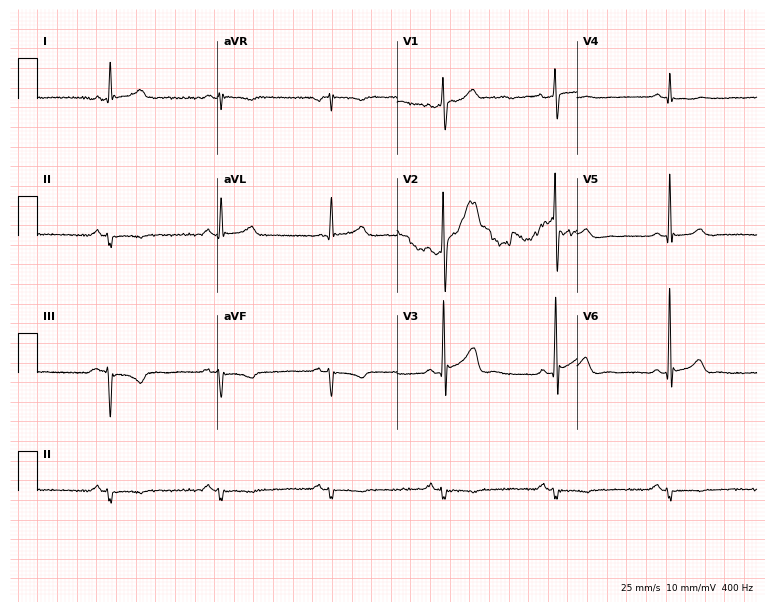
12-lead ECG (7.3-second recording at 400 Hz) from a 65-year-old male patient. Screened for six findings — first-degree AV block, right bundle branch block, left bundle branch block, sinus bradycardia, atrial fibrillation, sinus tachycardia — none is recorded. Other findings, if any, are not listed.